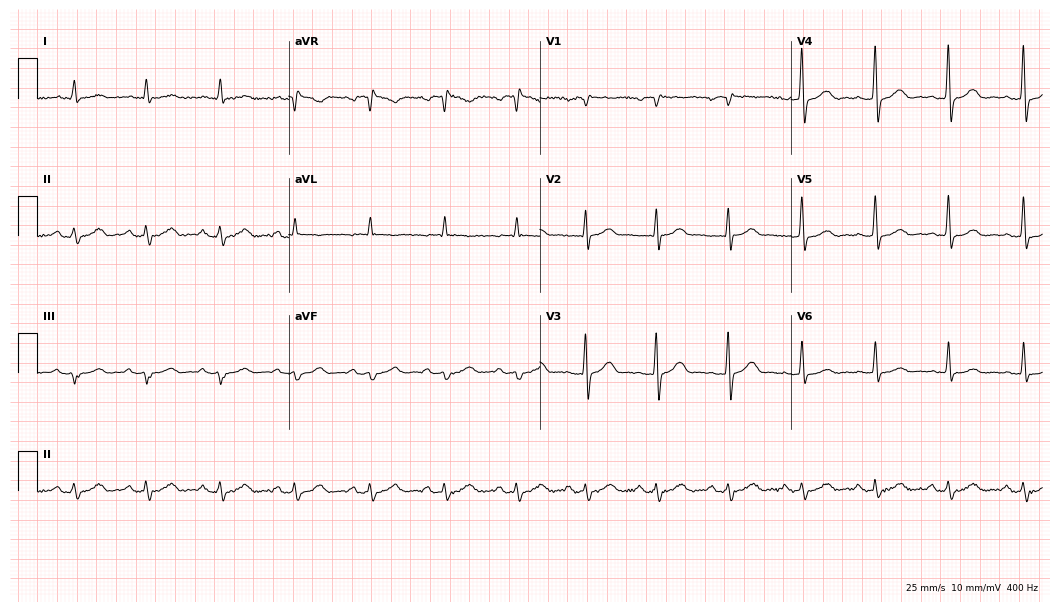
12-lead ECG from a male patient, 68 years old (10.2-second recording at 400 Hz). No first-degree AV block, right bundle branch block (RBBB), left bundle branch block (LBBB), sinus bradycardia, atrial fibrillation (AF) or sinus tachycardia recorded for this tracing. Other findings, if any, are not listed.